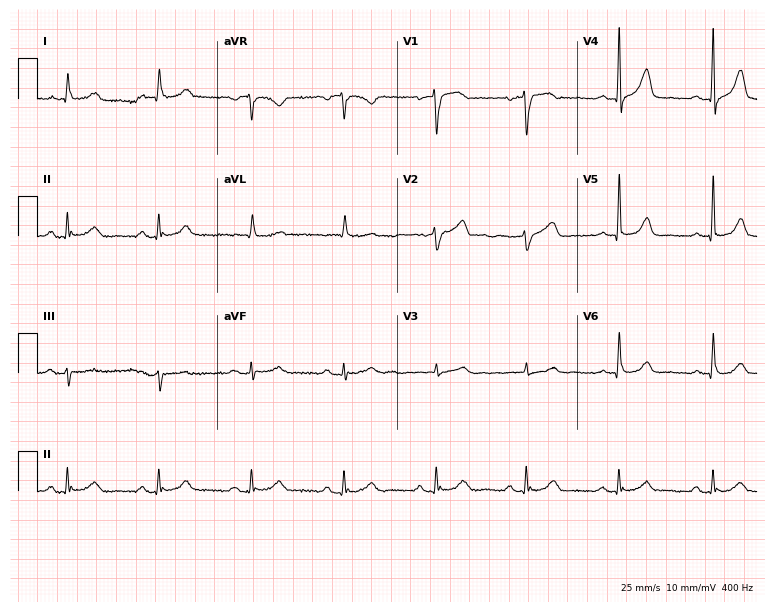
Electrocardiogram (7.3-second recording at 400 Hz), a 78-year-old male patient. Overall reading on record: normal ECG.